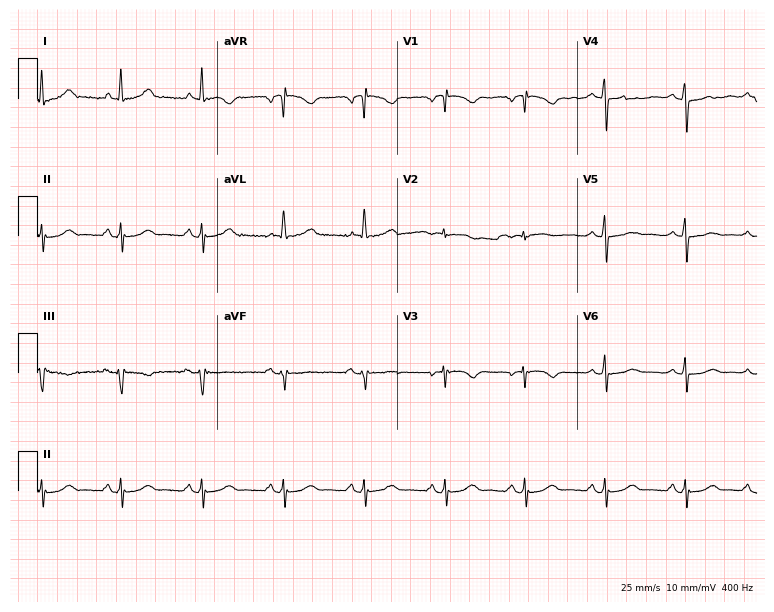
Resting 12-lead electrocardiogram (7.3-second recording at 400 Hz). Patient: a 56-year-old female. None of these six findings is recorded: first-degree AV block, right bundle branch block, left bundle branch block, sinus bradycardia, atrial fibrillation, sinus tachycardia. Only these six findings were labelled.